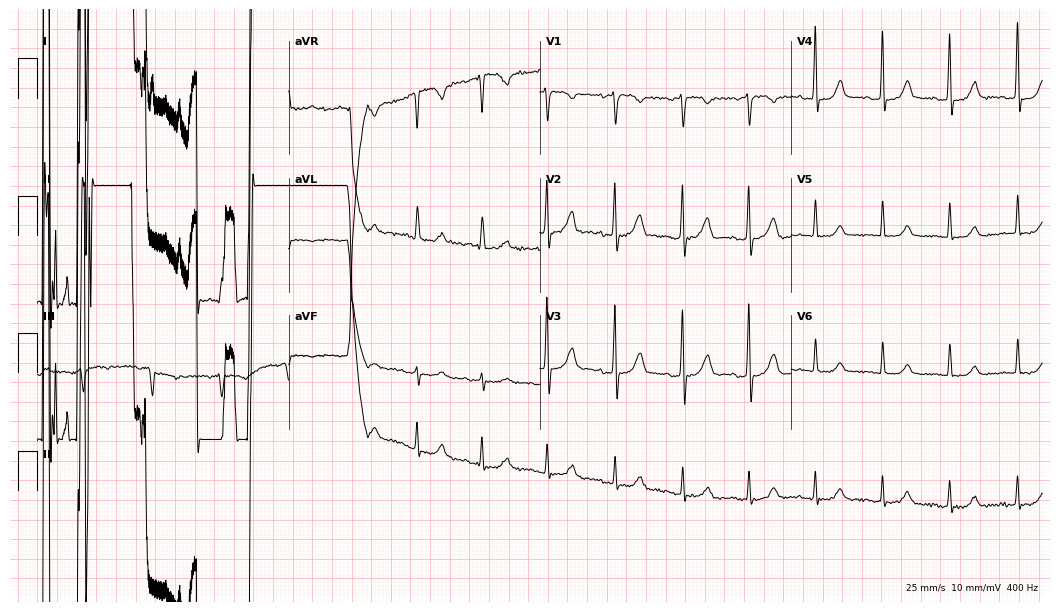
Resting 12-lead electrocardiogram (10.2-second recording at 400 Hz). Patient: a 68-year-old woman. None of these six findings is recorded: first-degree AV block, right bundle branch block, left bundle branch block, sinus bradycardia, atrial fibrillation, sinus tachycardia.